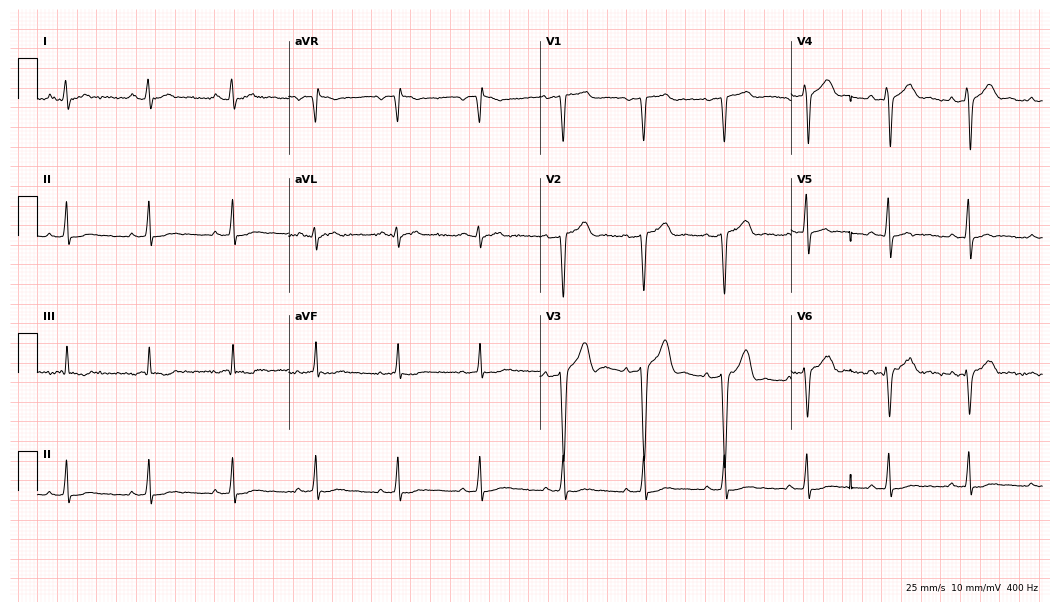
Electrocardiogram, a male, 56 years old. Of the six screened findings (first-degree AV block, right bundle branch block, left bundle branch block, sinus bradycardia, atrial fibrillation, sinus tachycardia), none is recorded. Findings outside these six are not listed.